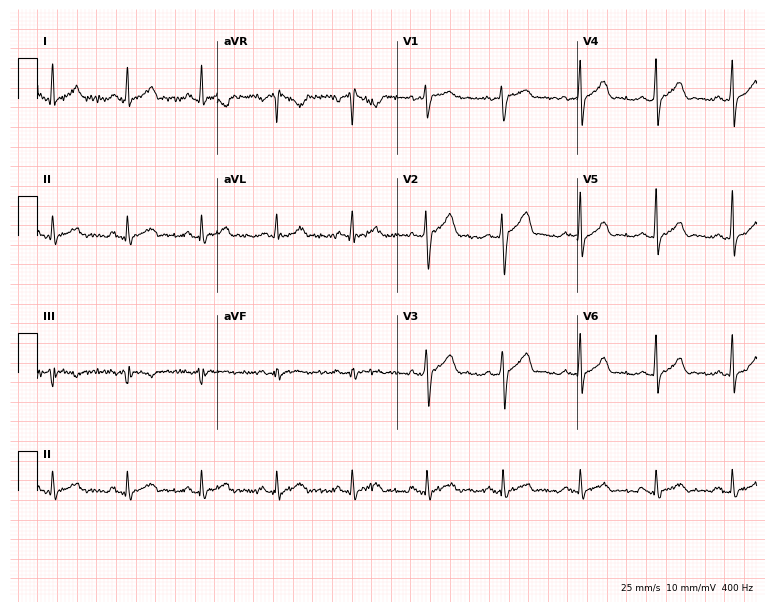
ECG (7.3-second recording at 400 Hz) — a 30-year-old male patient. Screened for six findings — first-degree AV block, right bundle branch block (RBBB), left bundle branch block (LBBB), sinus bradycardia, atrial fibrillation (AF), sinus tachycardia — none is recorded.